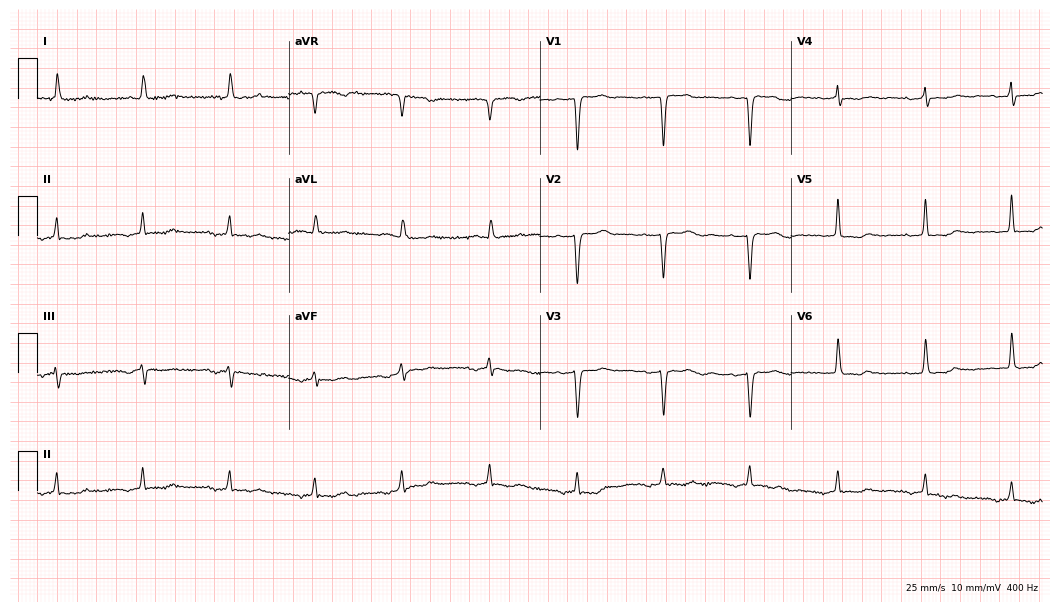
Resting 12-lead electrocardiogram (10.2-second recording at 400 Hz). Patient: a female, 78 years old. The tracing shows atrial fibrillation.